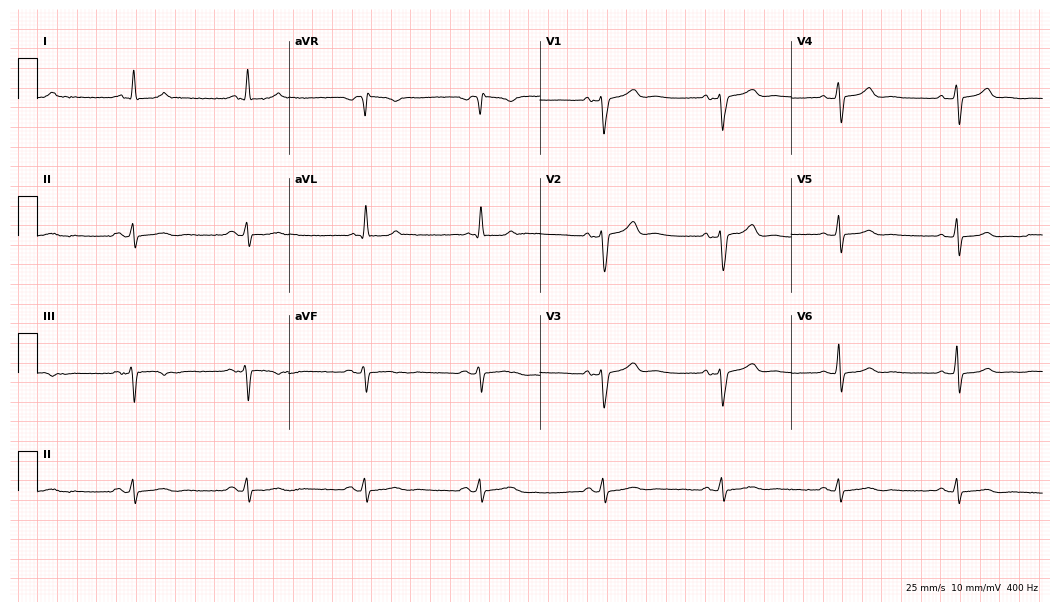
Electrocardiogram, a man, 78 years old. Of the six screened findings (first-degree AV block, right bundle branch block (RBBB), left bundle branch block (LBBB), sinus bradycardia, atrial fibrillation (AF), sinus tachycardia), none is recorded.